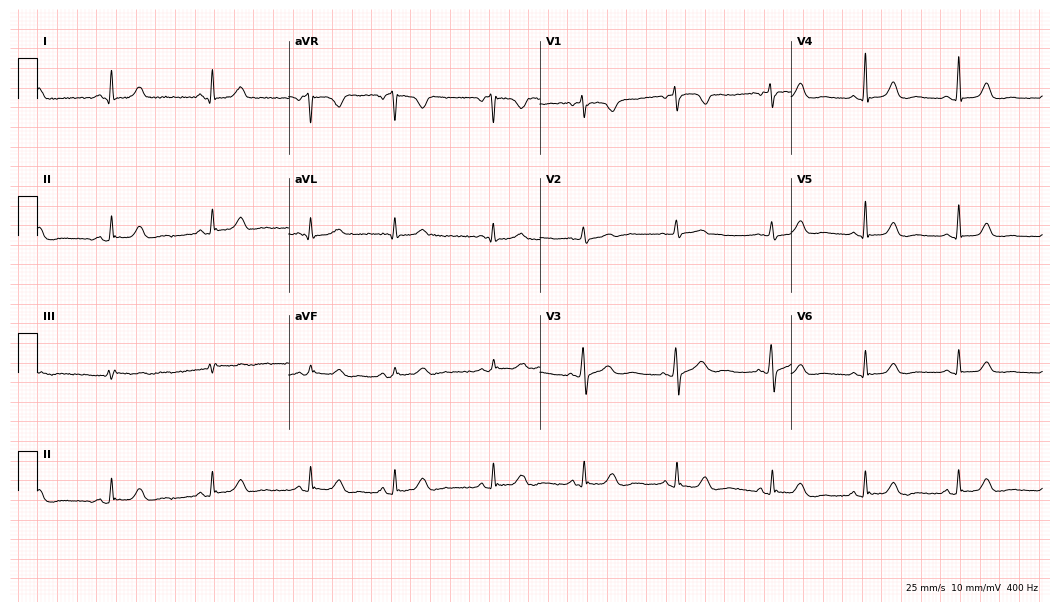
Standard 12-lead ECG recorded from a female, 46 years old (10.2-second recording at 400 Hz). Read as a normal ECG.